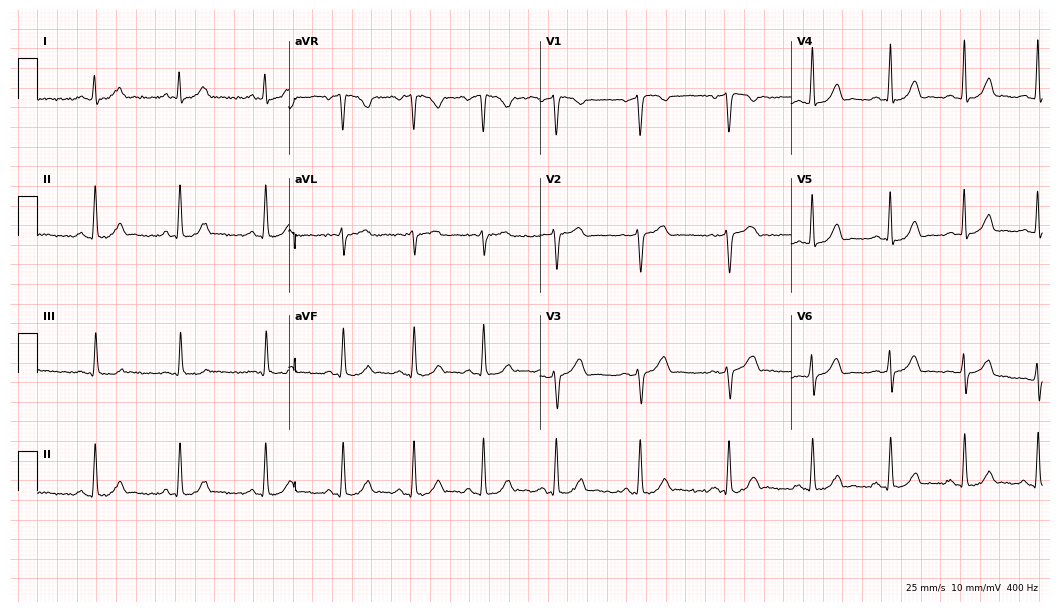
ECG (10.2-second recording at 400 Hz) — a 26-year-old female. Labelled as a normal ECG.